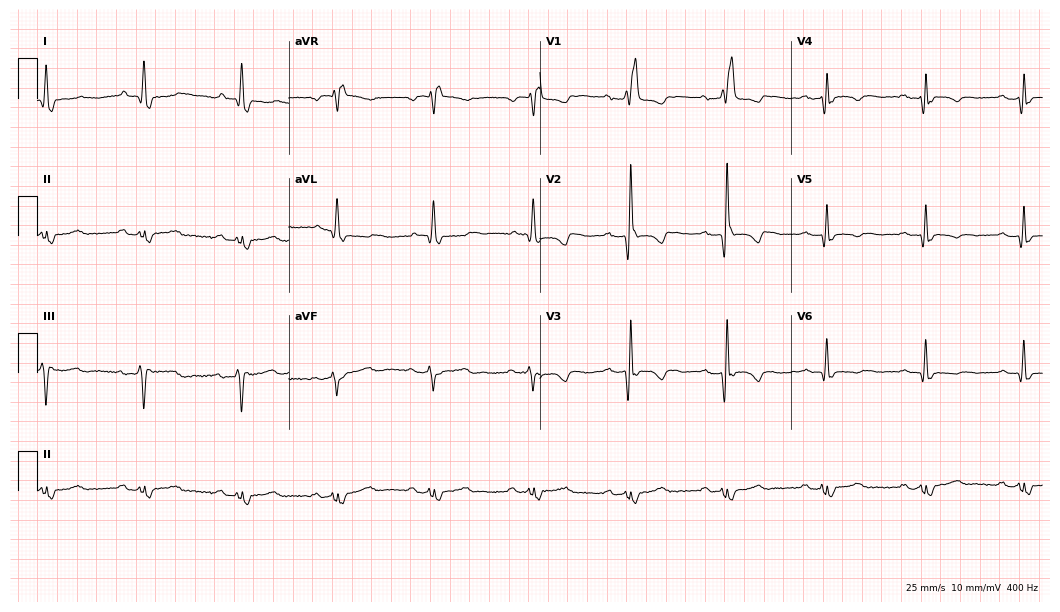
12-lead ECG (10.2-second recording at 400 Hz) from a 75-year-old female. Screened for six findings — first-degree AV block, right bundle branch block, left bundle branch block, sinus bradycardia, atrial fibrillation, sinus tachycardia — none is recorded.